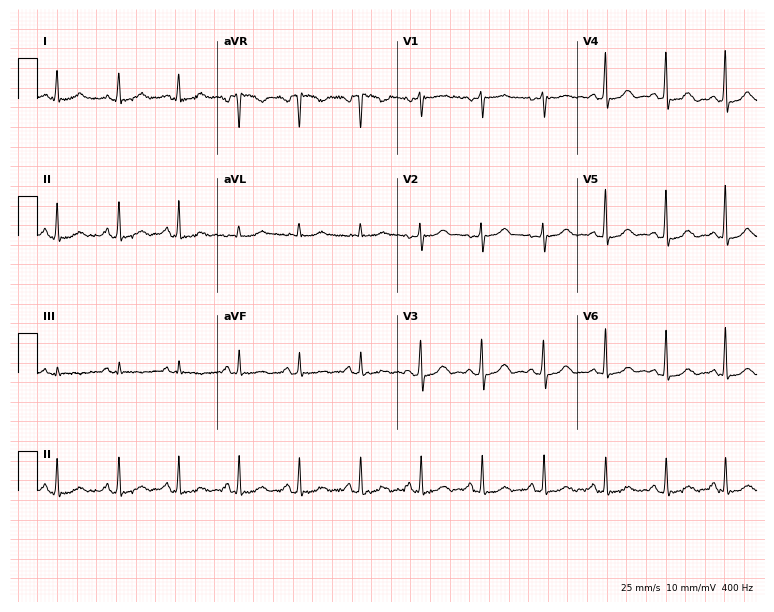
Resting 12-lead electrocardiogram. Patient: a male, 52 years old. Read as a normal ECG.